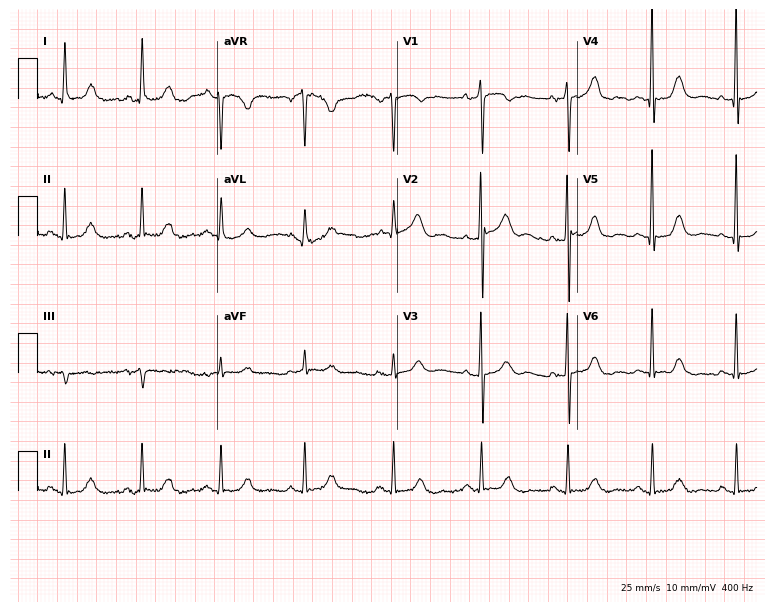
12-lead ECG from a male, 74 years old (7.3-second recording at 400 Hz). Recorded interpretation: within normal limits.